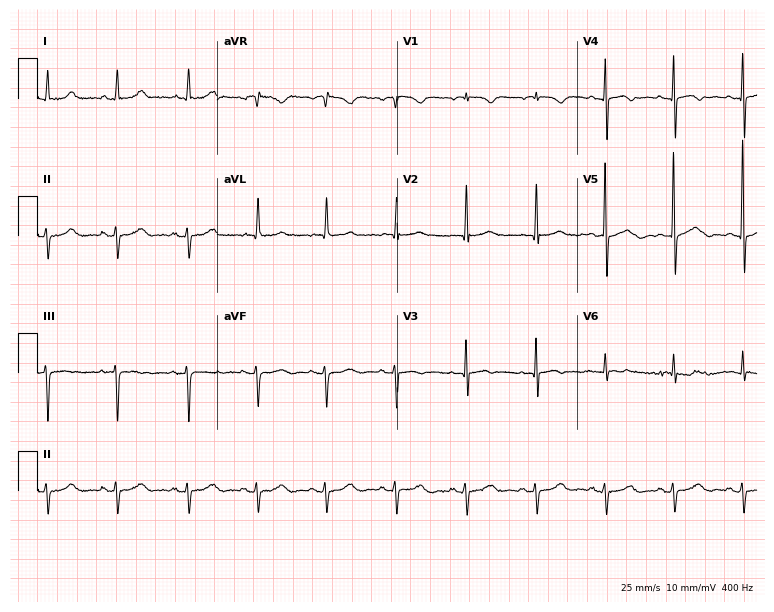
ECG (7.3-second recording at 400 Hz) — an 87-year-old female patient. Screened for six findings — first-degree AV block, right bundle branch block (RBBB), left bundle branch block (LBBB), sinus bradycardia, atrial fibrillation (AF), sinus tachycardia — none is recorded. Findings outside these six are not listed.